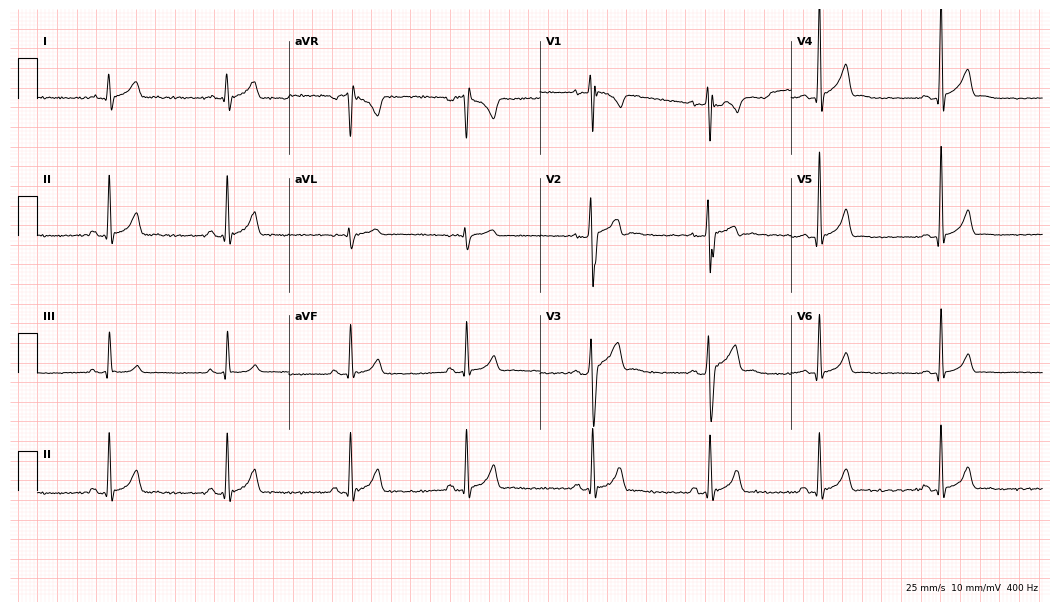
Standard 12-lead ECG recorded from a 21-year-old male patient (10.2-second recording at 400 Hz). Read as a normal ECG.